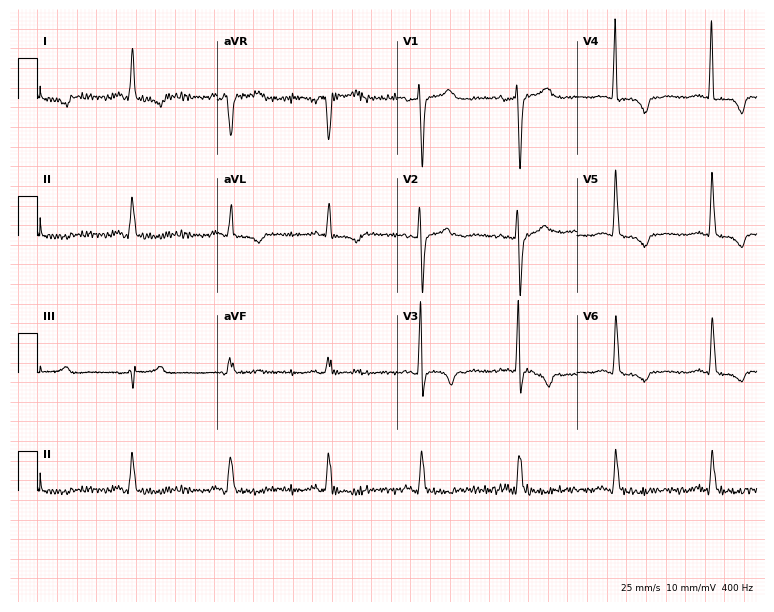
ECG (7.3-second recording at 400 Hz) — a 65-year-old female patient. Screened for six findings — first-degree AV block, right bundle branch block, left bundle branch block, sinus bradycardia, atrial fibrillation, sinus tachycardia — none is recorded. Other findings, if any, are not listed.